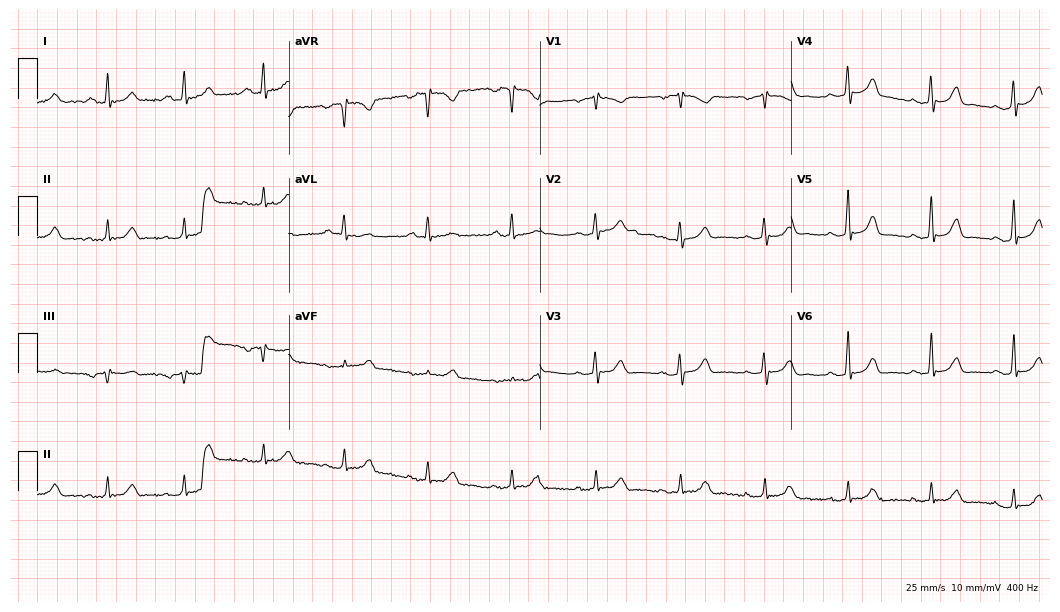
12-lead ECG from a 69-year-old woman (10.2-second recording at 400 Hz). No first-degree AV block, right bundle branch block (RBBB), left bundle branch block (LBBB), sinus bradycardia, atrial fibrillation (AF) or sinus tachycardia recorded for this tracing.